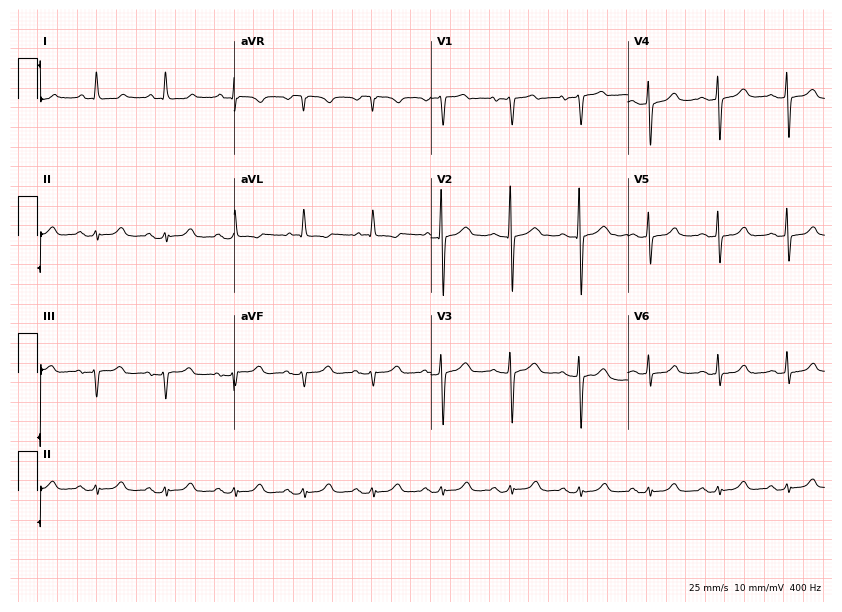
Resting 12-lead electrocardiogram (8-second recording at 400 Hz). Patient: a 76-year-old female. Read as a normal ECG.